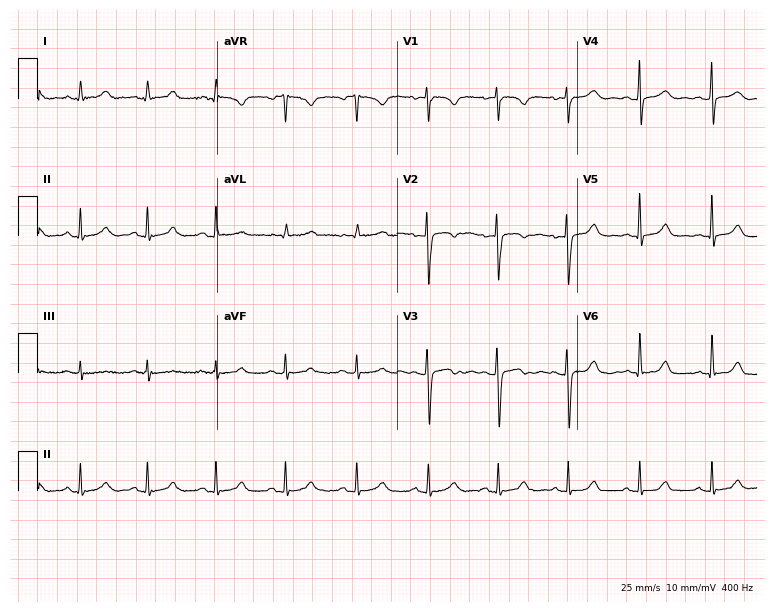
ECG — a female, 30 years old. Screened for six findings — first-degree AV block, right bundle branch block, left bundle branch block, sinus bradycardia, atrial fibrillation, sinus tachycardia — none is recorded.